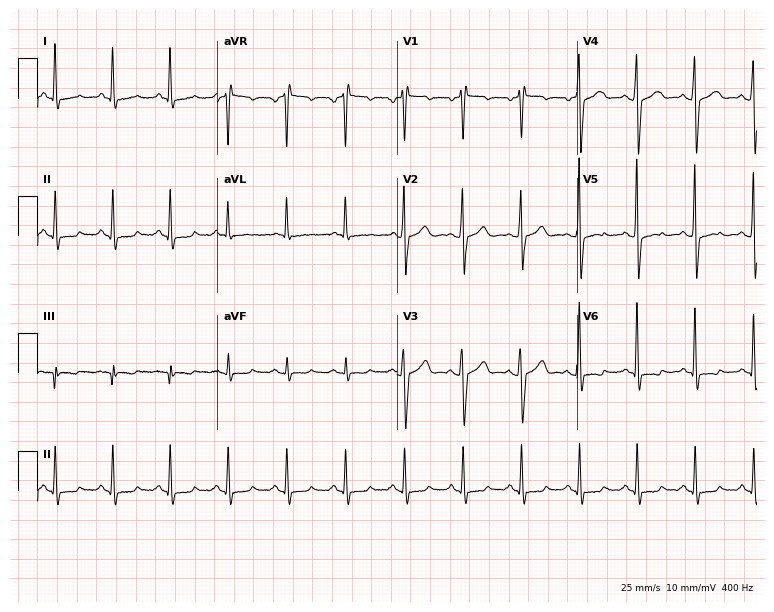
12-lead ECG (7.3-second recording at 400 Hz) from a 58-year-old female patient. Findings include sinus tachycardia (a sinus rate of 100 beats per minute or more).